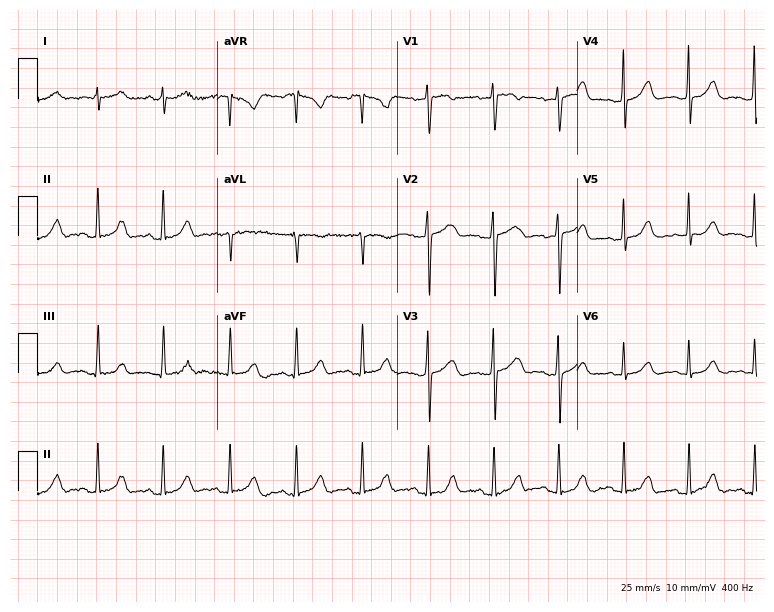
12-lead ECG (7.3-second recording at 400 Hz) from a female patient, 45 years old. Labelled as a normal ECG.